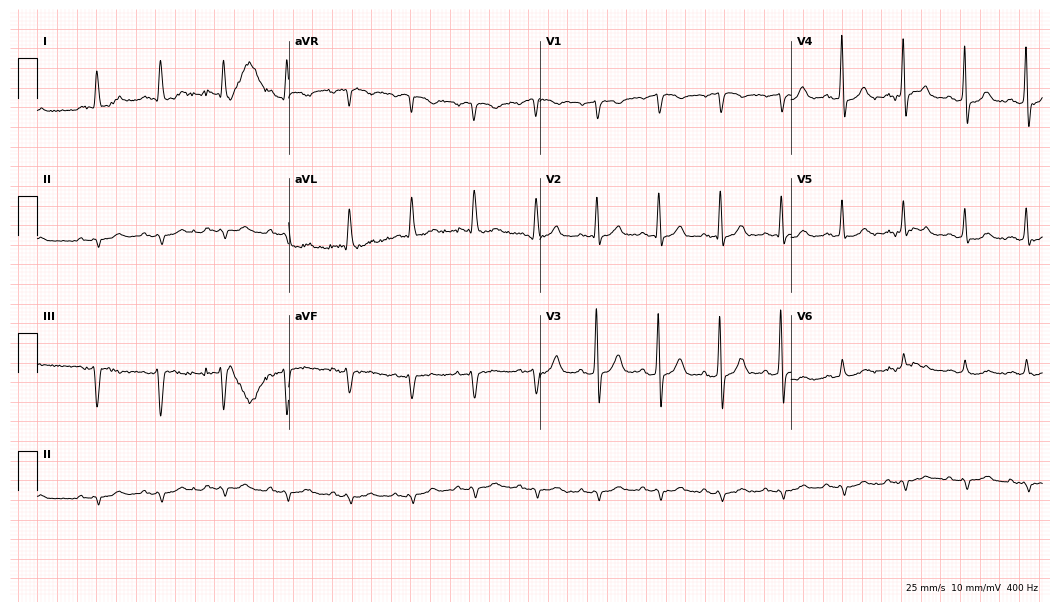
12-lead ECG from a male, 66 years old. Screened for six findings — first-degree AV block, right bundle branch block (RBBB), left bundle branch block (LBBB), sinus bradycardia, atrial fibrillation (AF), sinus tachycardia — none is recorded.